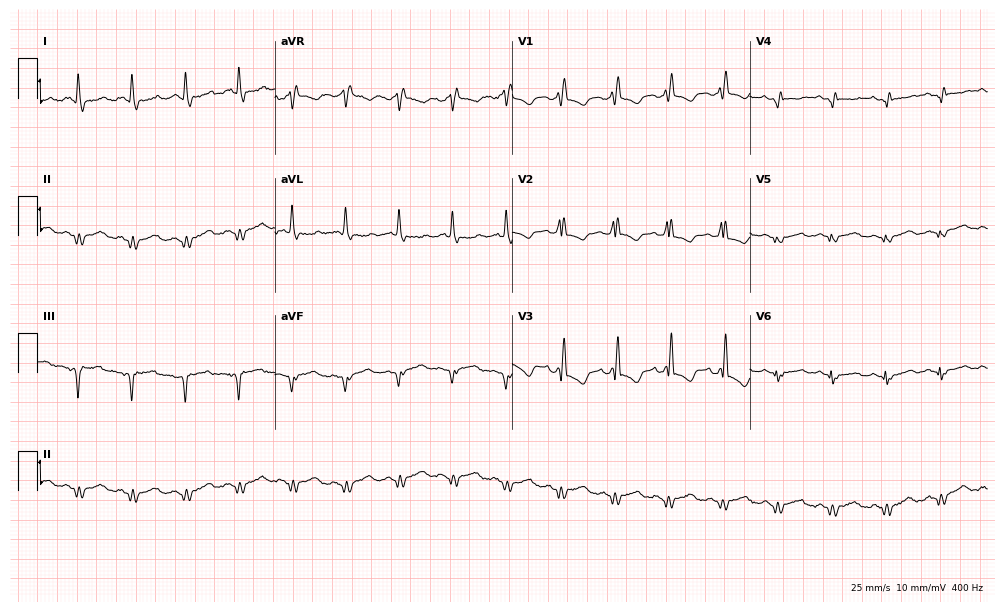
Electrocardiogram (9.7-second recording at 400 Hz), an 83-year-old woman. Of the six screened findings (first-degree AV block, right bundle branch block, left bundle branch block, sinus bradycardia, atrial fibrillation, sinus tachycardia), none is recorded. Findings outside these six are not listed.